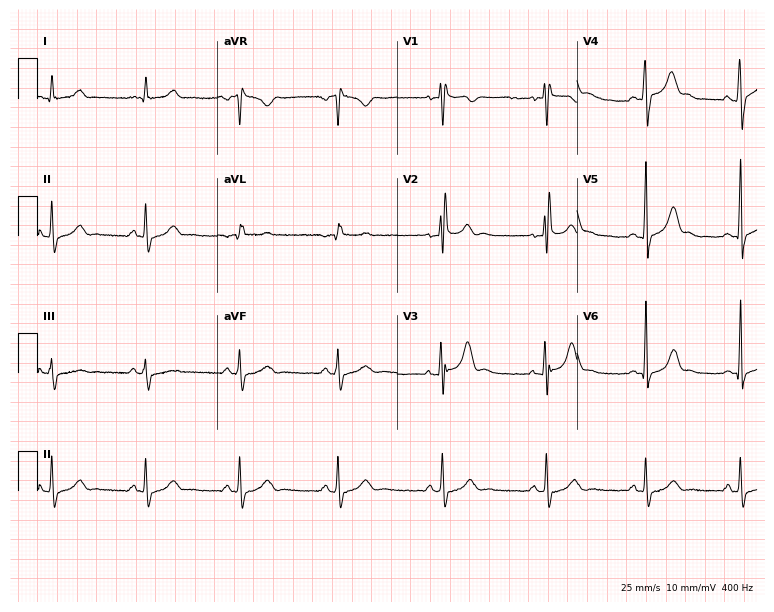
Electrocardiogram (7.3-second recording at 400 Hz), a 25-year-old man. Of the six screened findings (first-degree AV block, right bundle branch block (RBBB), left bundle branch block (LBBB), sinus bradycardia, atrial fibrillation (AF), sinus tachycardia), none is recorded.